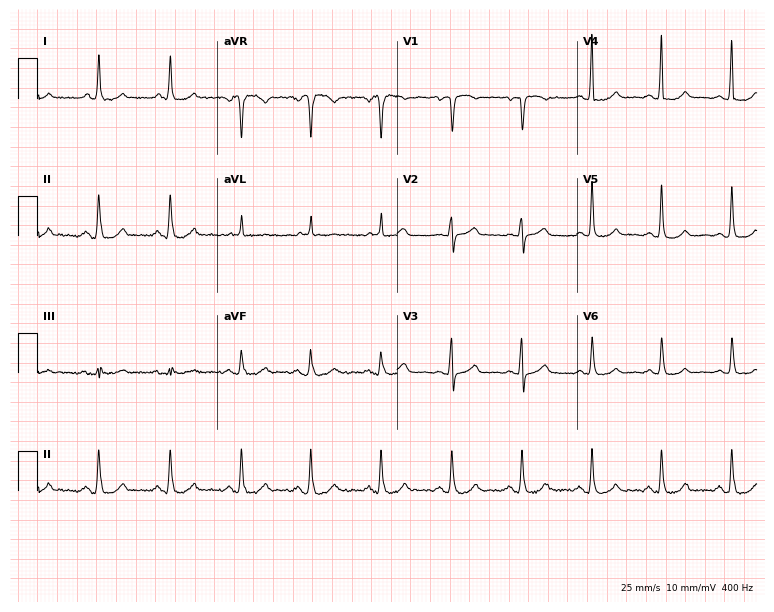
Resting 12-lead electrocardiogram (7.3-second recording at 400 Hz). Patient: a 75-year-old female. Read as a normal ECG.